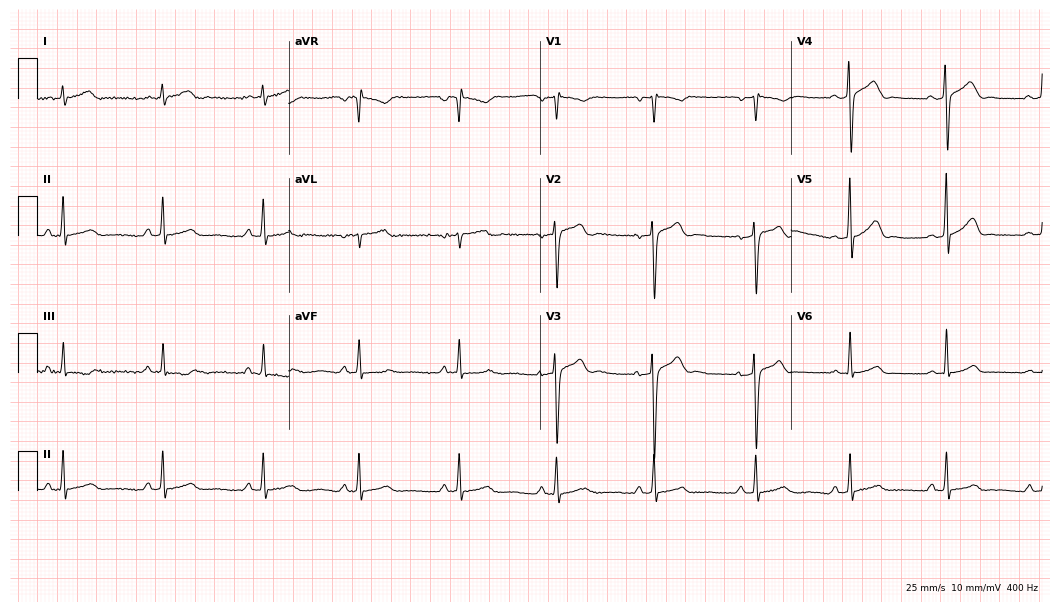
12-lead ECG from a male patient, 23 years old. Labelled as a normal ECG.